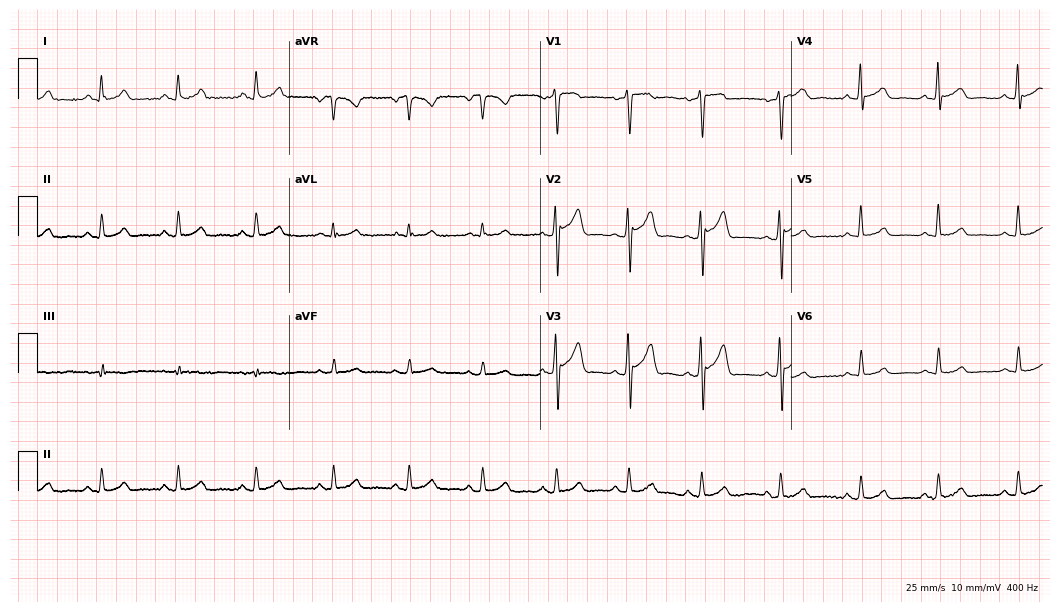
Electrocardiogram, a 32-year-old male. Overall reading on record: normal ECG.